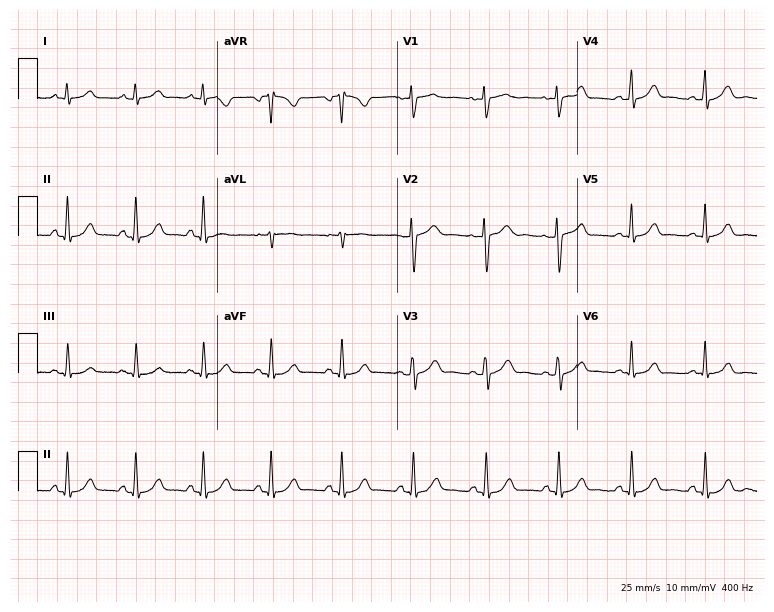
ECG — a female, 52 years old. Labelled as a normal ECG.